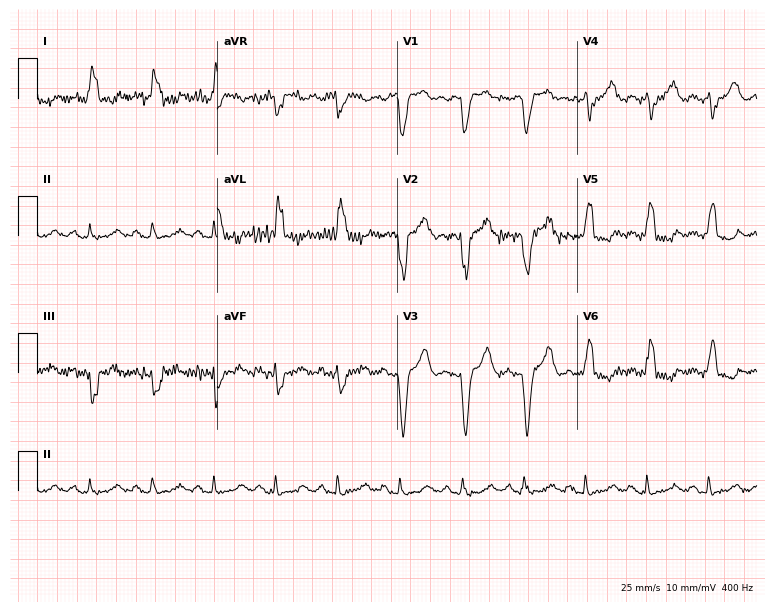
ECG (7.3-second recording at 400 Hz) — a 63-year-old woman. Screened for six findings — first-degree AV block, right bundle branch block (RBBB), left bundle branch block (LBBB), sinus bradycardia, atrial fibrillation (AF), sinus tachycardia — none is recorded. Findings outside these six are not listed.